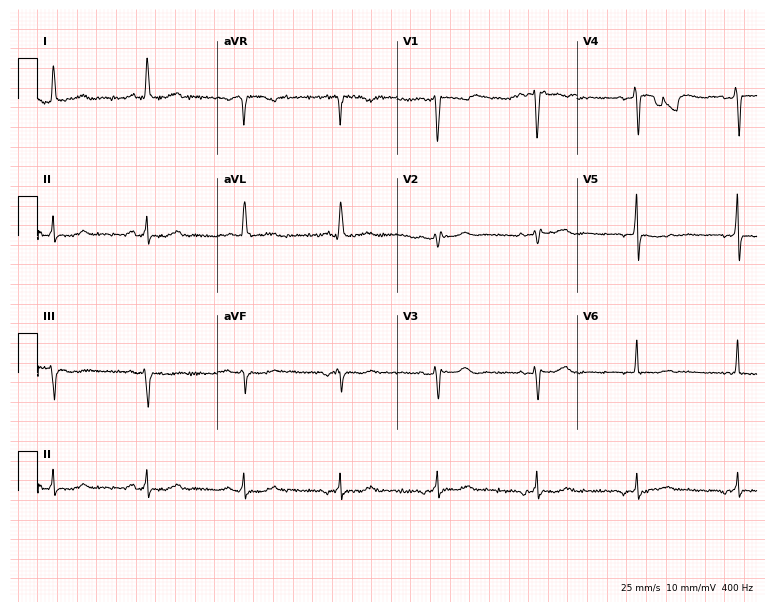
ECG (7.3-second recording at 400 Hz) — a 61-year-old female patient. Screened for six findings — first-degree AV block, right bundle branch block, left bundle branch block, sinus bradycardia, atrial fibrillation, sinus tachycardia — none is recorded.